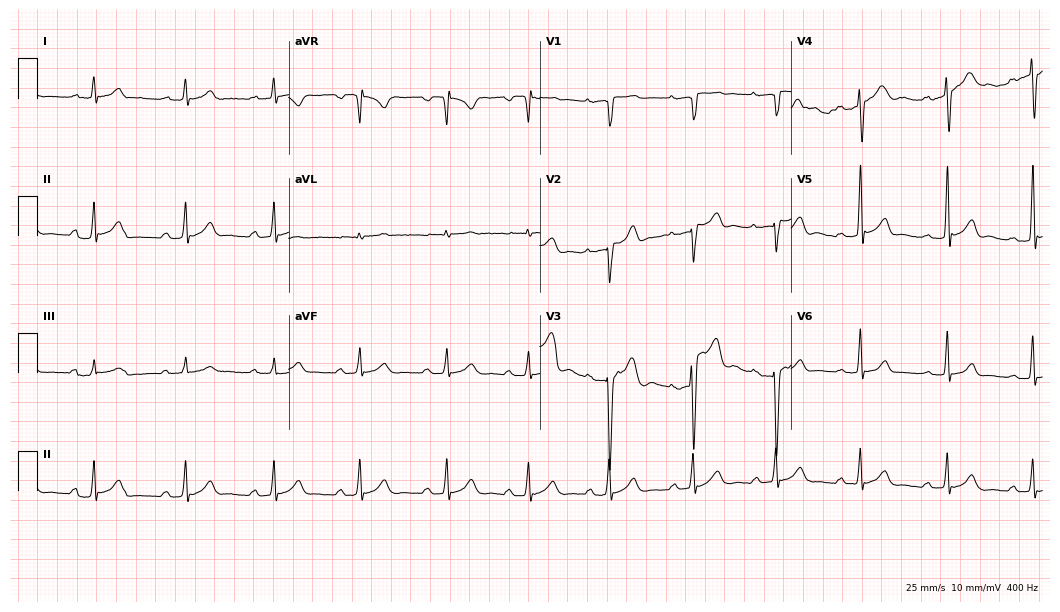
12-lead ECG from a 52-year-old man. Screened for six findings — first-degree AV block, right bundle branch block (RBBB), left bundle branch block (LBBB), sinus bradycardia, atrial fibrillation (AF), sinus tachycardia — none is recorded.